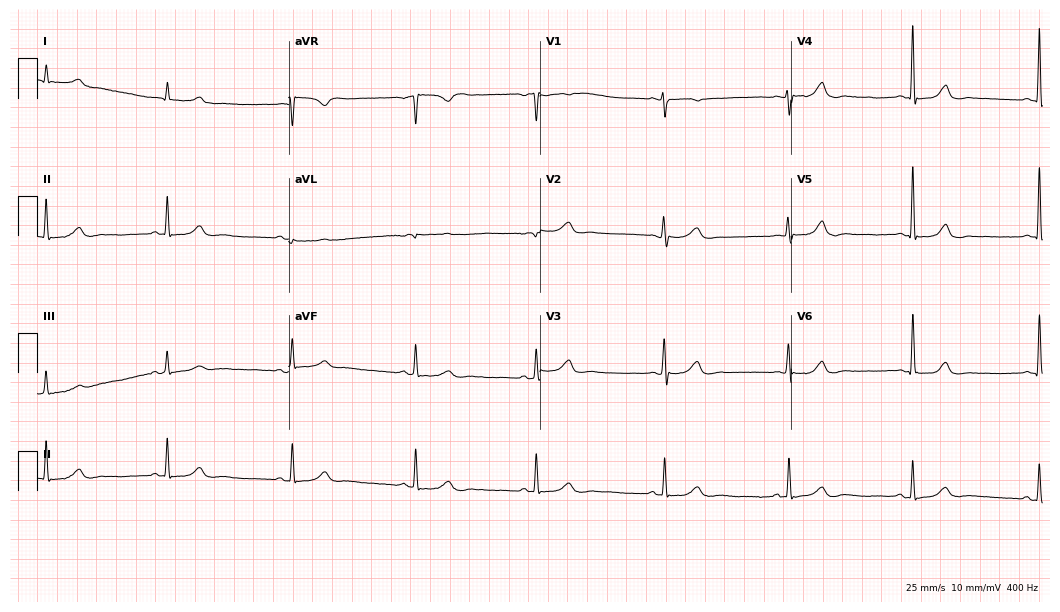
Electrocardiogram (10.2-second recording at 400 Hz), a woman, 62 years old. Of the six screened findings (first-degree AV block, right bundle branch block (RBBB), left bundle branch block (LBBB), sinus bradycardia, atrial fibrillation (AF), sinus tachycardia), none is recorded. Findings outside these six are not listed.